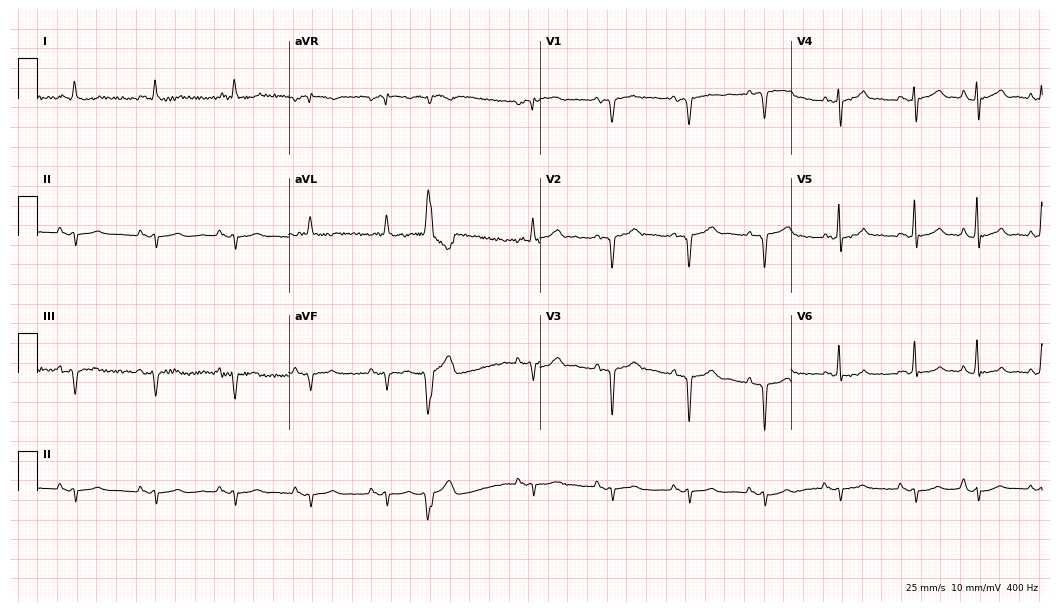
12-lead ECG (10.2-second recording at 400 Hz) from an 80-year-old female patient. Screened for six findings — first-degree AV block, right bundle branch block, left bundle branch block, sinus bradycardia, atrial fibrillation, sinus tachycardia — none is recorded.